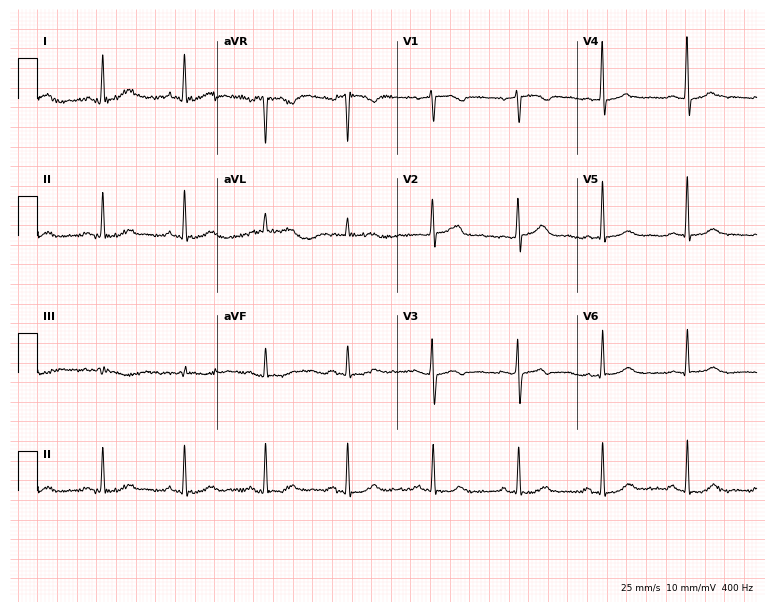
12-lead ECG from a woman, 60 years old (7.3-second recording at 400 Hz). Recorded interpretation: within normal limits.